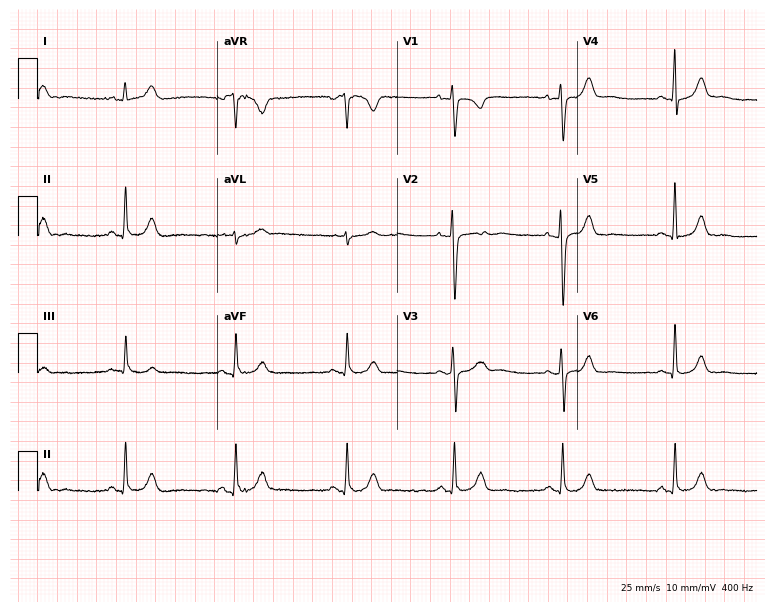
Standard 12-lead ECG recorded from a female, 35 years old. Read as a normal ECG.